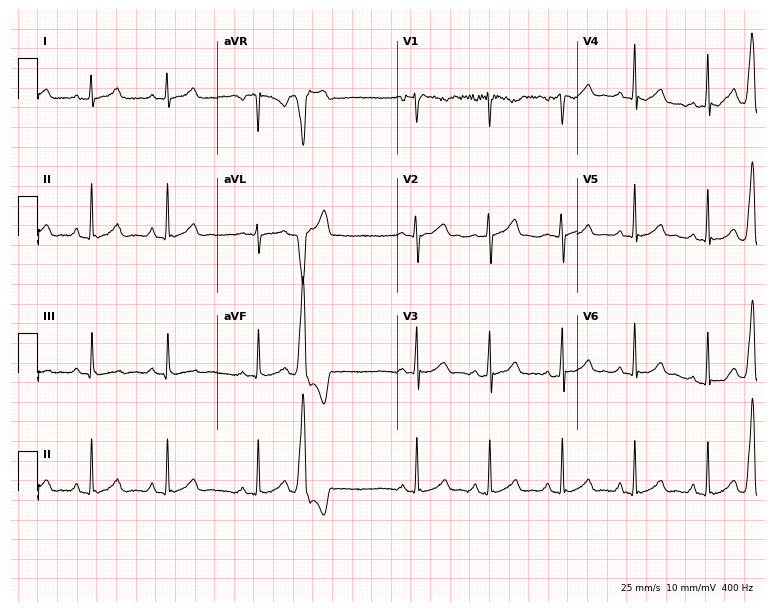
Electrocardiogram, a female, 30 years old. Of the six screened findings (first-degree AV block, right bundle branch block, left bundle branch block, sinus bradycardia, atrial fibrillation, sinus tachycardia), none is recorded.